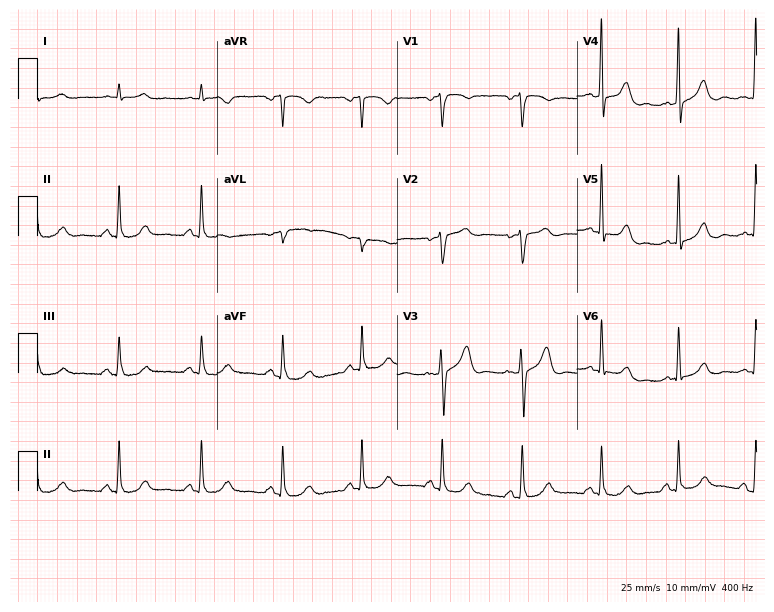
Standard 12-lead ECG recorded from a male, 58 years old. None of these six findings is recorded: first-degree AV block, right bundle branch block, left bundle branch block, sinus bradycardia, atrial fibrillation, sinus tachycardia. Findings outside these six are not listed.